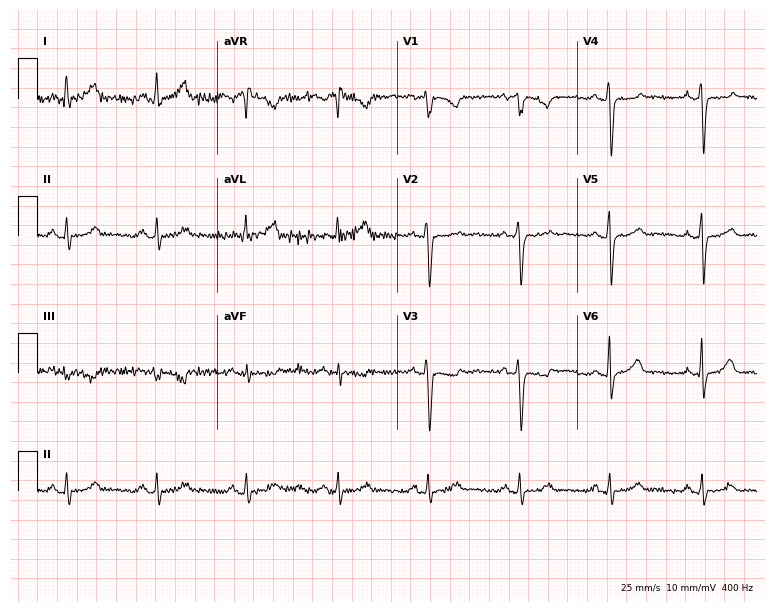
Standard 12-lead ECG recorded from a 46-year-old female (7.3-second recording at 400 Hz). None of these six findings is recorded: first-degree AV block, right bundle branch block, left bundle branch block, sinus bradycardia, atrial fibrillation, sinus tachycardia.